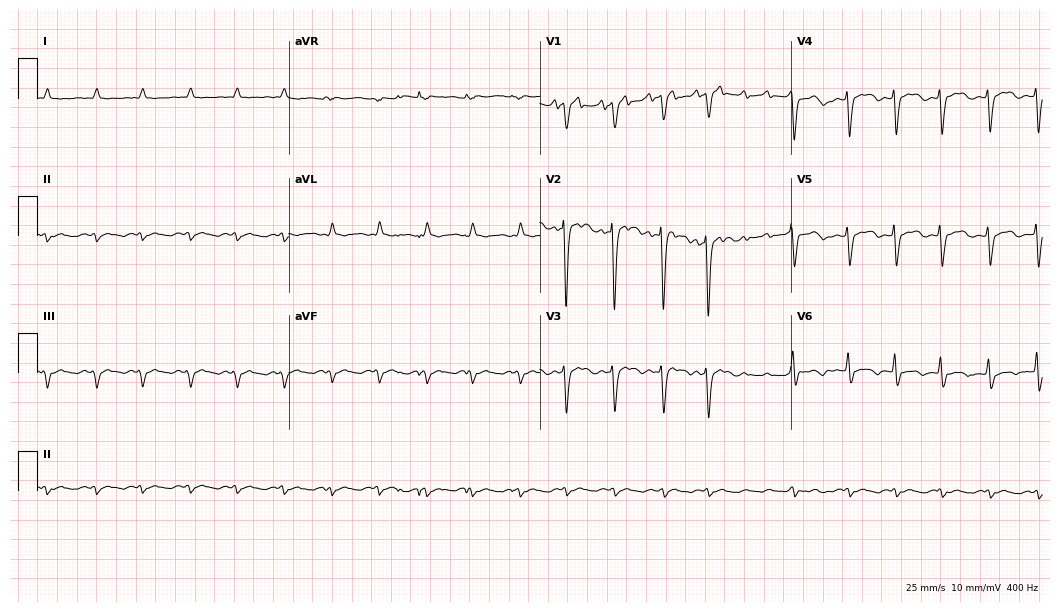
Electrocardiogram, an 85-year-old male. Of the six screened findings (first-degree AV block, right bundle branch block, left bundle branch block, sinus bradycardia, atrial fibrillation, sinus tachycardia), none is recorded.